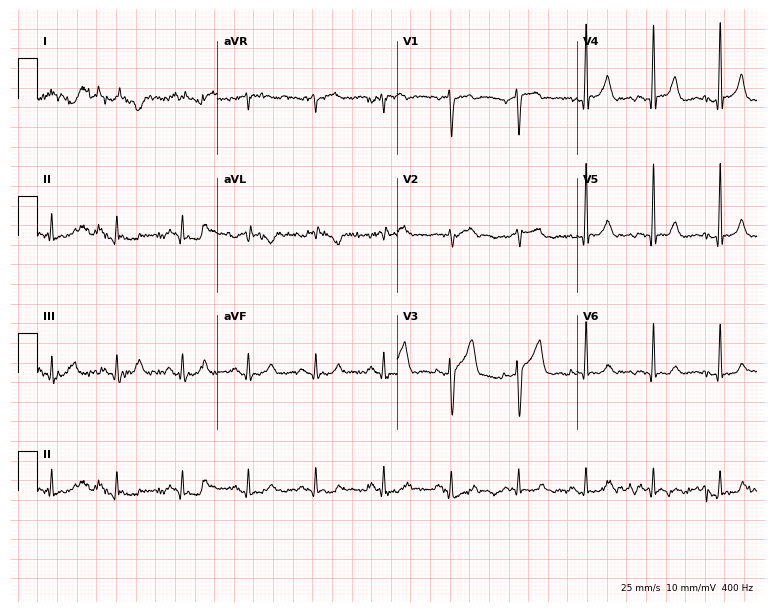
Resting 12-lead electrocardiogram. Patient: a man, 48 years old. None of these six findings is recorded: first-degree AV block, right bundle branch block (RBBB), left bundle branch block (LBBB), sinus bradycardia, atrial fibrillation (AF), sinus tachycardia. Findings outside these six are not listed.